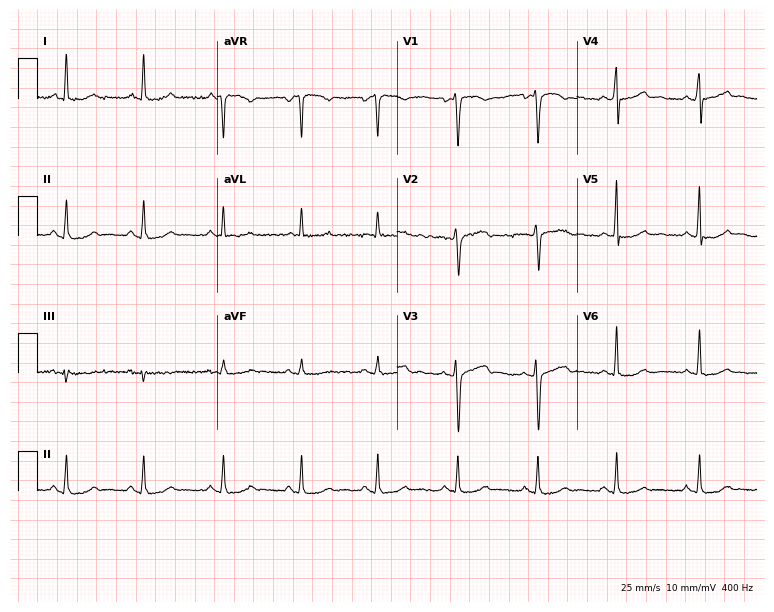
Standard 12-lead ECG recorded from a 43-year-old female patient. None of these six findings is recorded: first-degree AV block, right bundle branch block, left bundle branch block, sinus bradycardia, atrial fibrillation, sinus tachycardia.